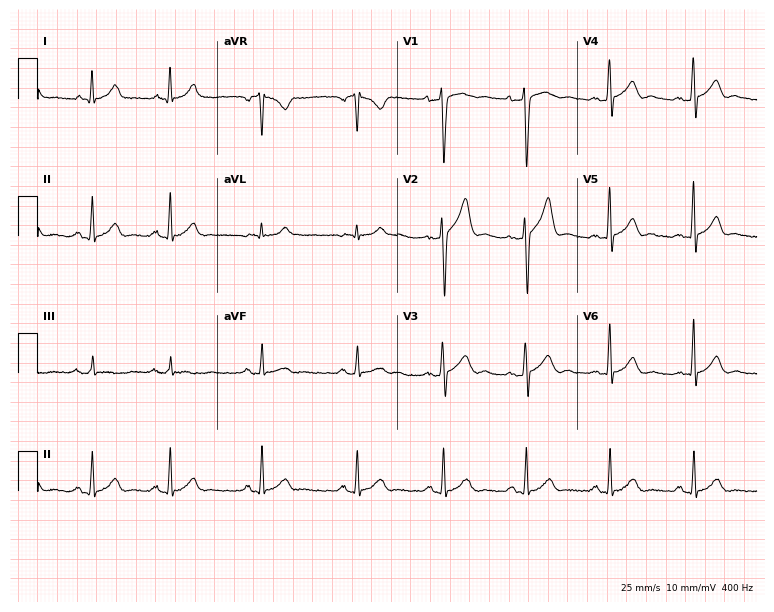
12-lead ECG (7.3-second recording at 400 Hz) from a 22-year-old man. Labelled as a normal ECG.